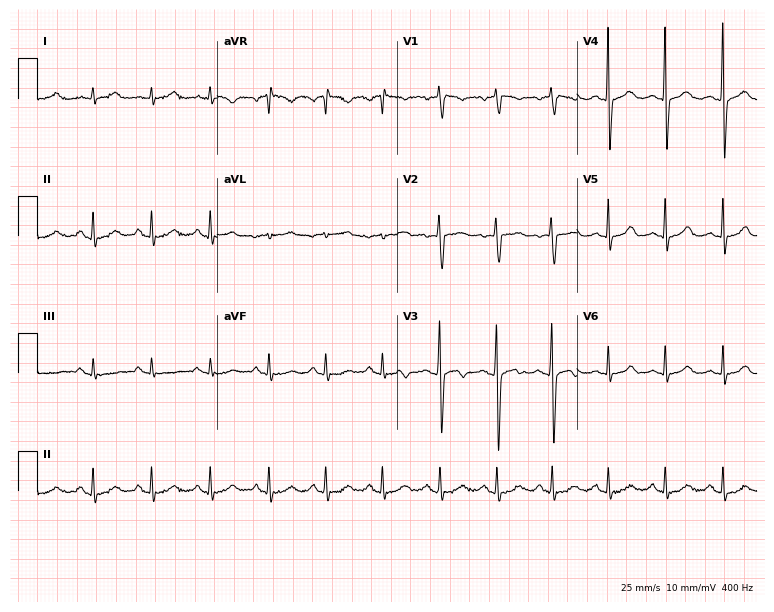
12-lead ECG from a 28-year-old female. Shows sinus tachycardia (a sinus rate of 100 beats per minute or more).